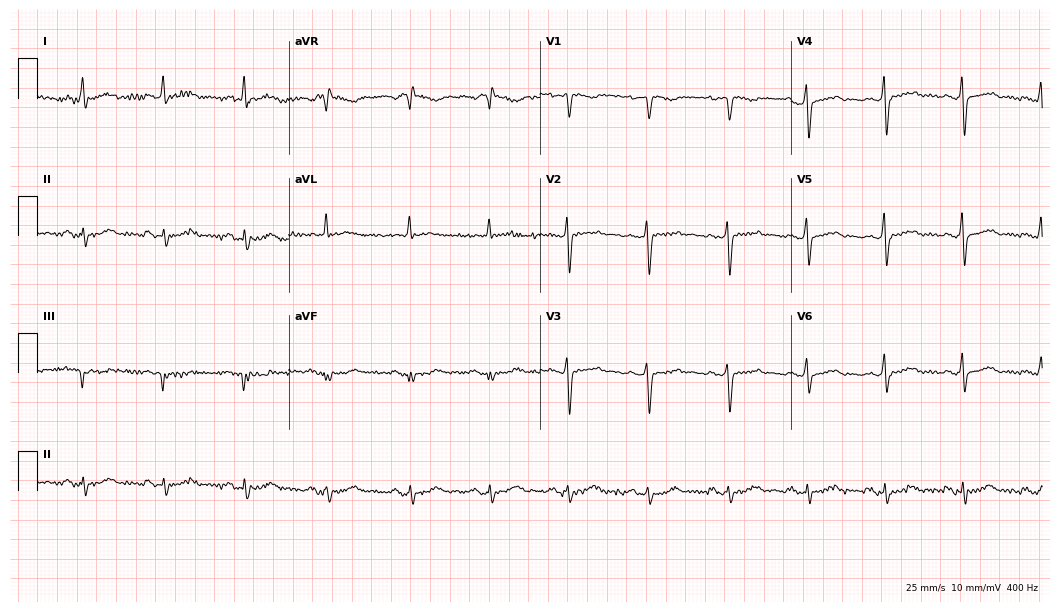
Resting 12-lead electrocardiogram (10.2-second recording at 400 Hz). Patient: a 50-year-old female. None of these six findings is recorded: first-degree AV block, right bundle branch block, left bundle branch block, sinus bradycardia, atrial fibrillation, sinus tachycardia.